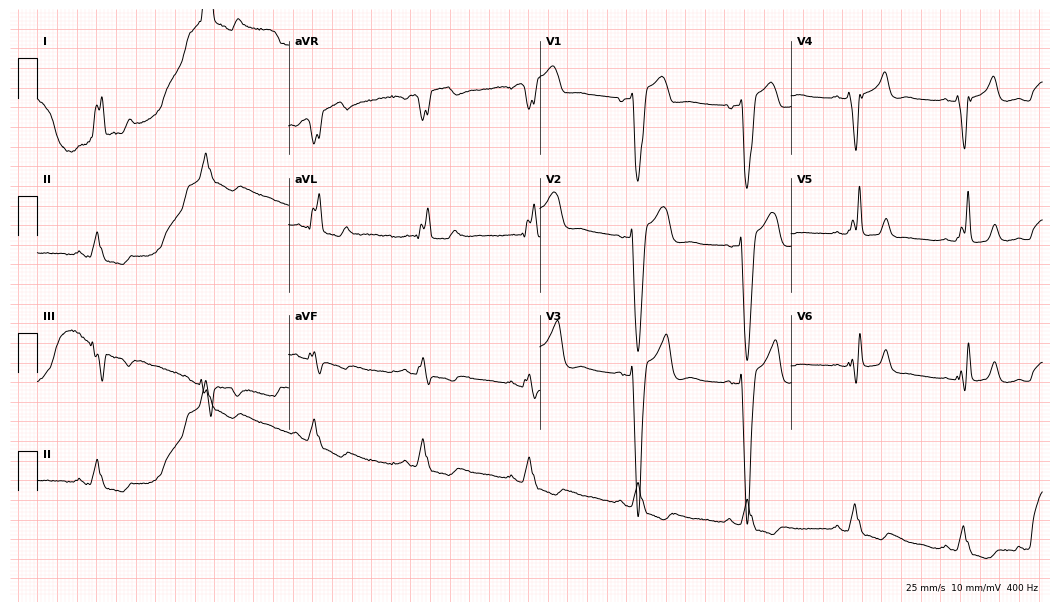
Electrocardiogram (10.2-second recording at 400 Hz), a male patient, 75 years old. Of the six screened findings (first-degree AV block, right bundle branch block, left bundle branch block, sinus bradycardia, atrial fibrillation, sinus tachycardia), none is recorded. Only these six findings were labelled.